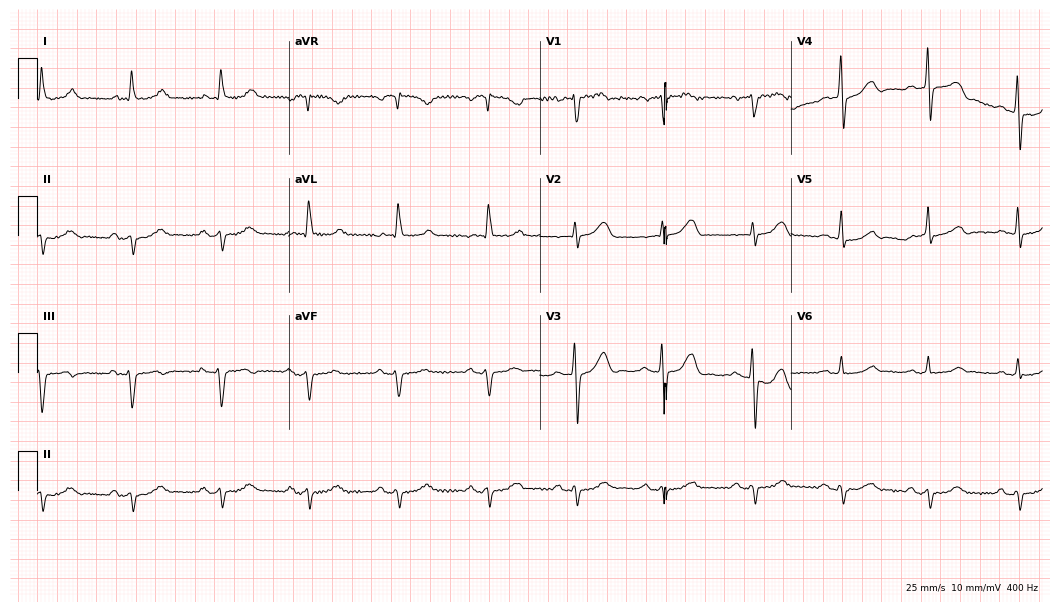
ECG (10.2-second recording at 400 Hz) — a male, 83 years old. Screened for six findings — first-degree AV block, right bundle branch block, left bundle branch block, sinus bradycardia, atrial fibrillation, sinus tachycardia — none is recorded.